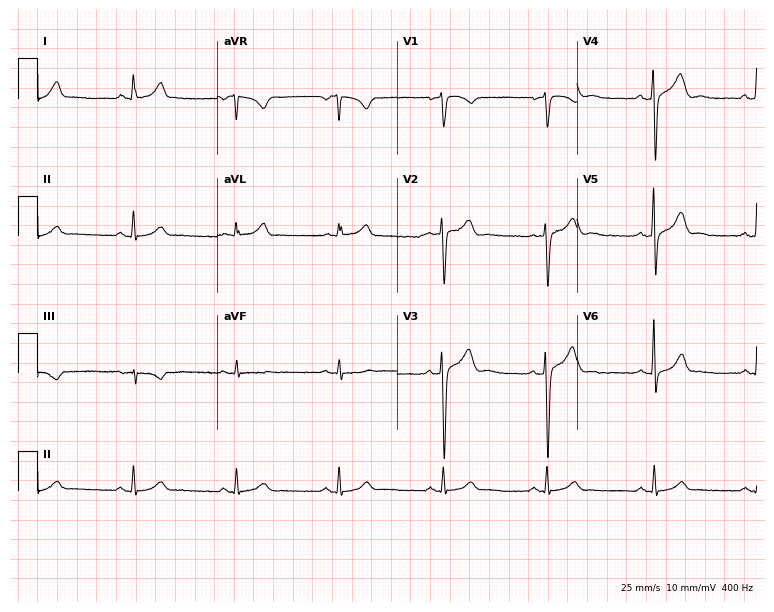
Electrocardiogram, a 34-year-old male patient. Of the six screened findings (first-degree AV block, right bundle branch block, left bundle branch block, sinus bradycardia, atrial fibrillation, sinus tachycardia), none is recorded. Only these six findings were labelled.